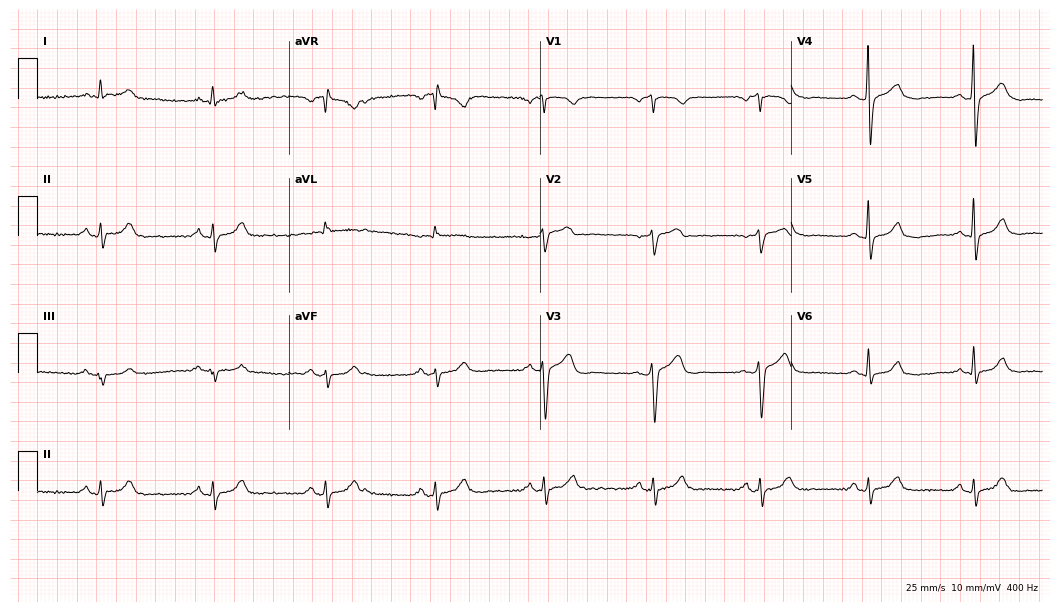
12-lead ECG from a 51-year-old male patient. No first-degree AV block, right bundle branch block (RBBB), left bundle branch block (LBBB), sinus bradycardia, atrial fibrillation (AF) or sinus tachycardia recorded for this tracing.